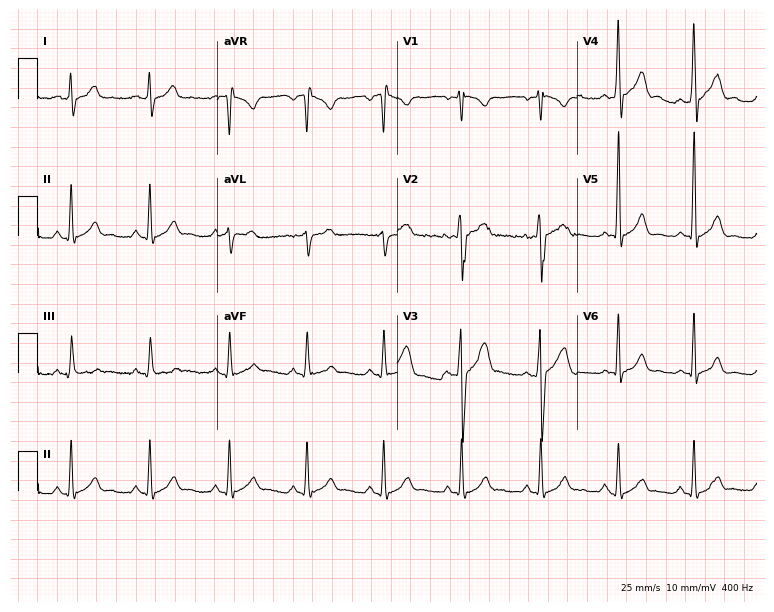
12-lead ECG from a 22-year-old male. Labelled as a normal ECG.